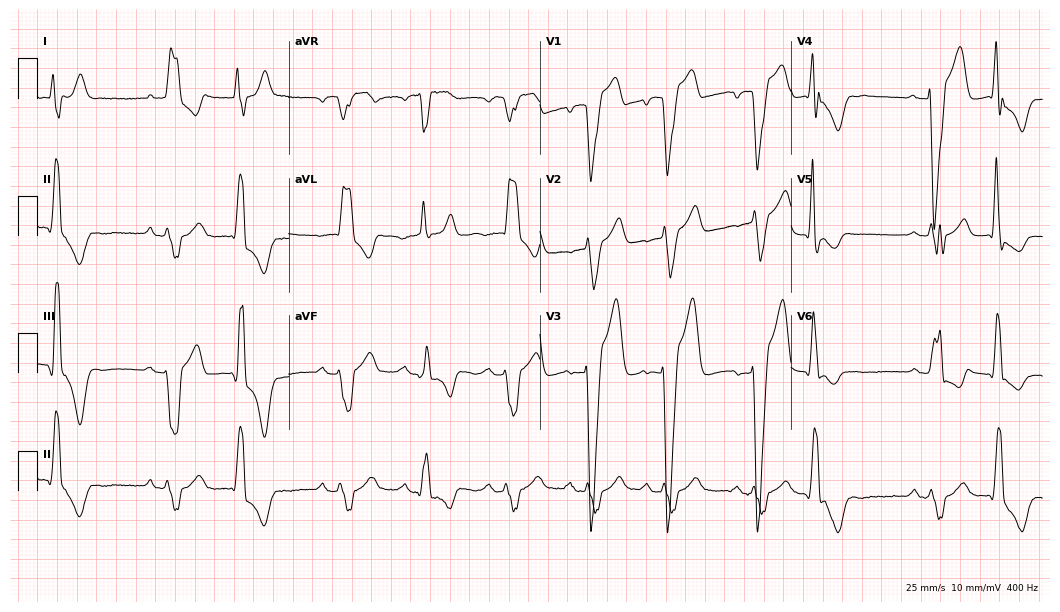
12-lead ECG (10.2-second recording at 400 Hz) from a 79-year-old female. Findings include left bundle branch block, atrial fibrillation.